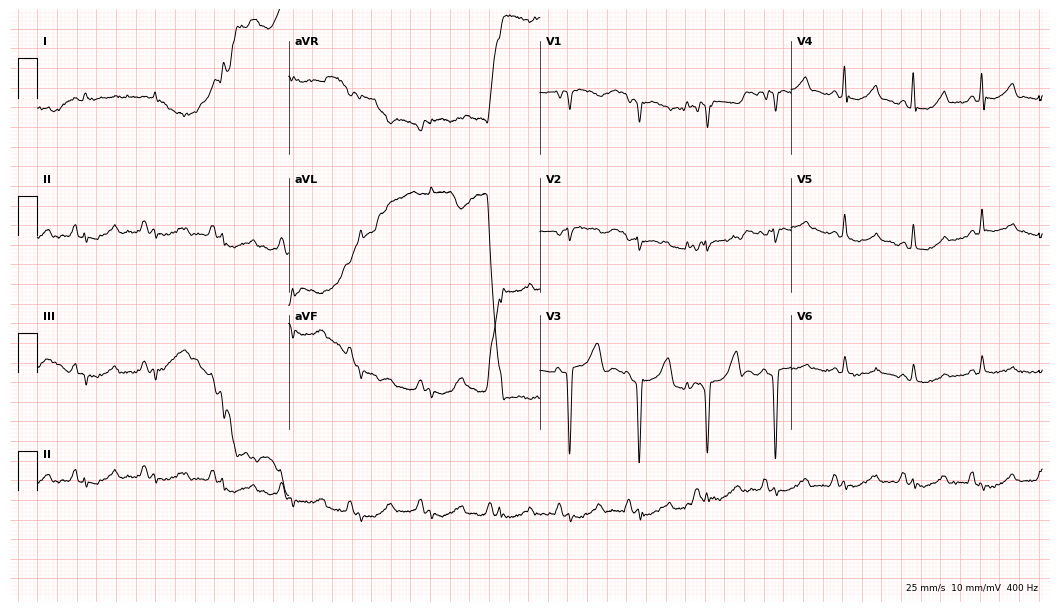
ECG — a 75-year-old woman. Screened for six findings — first-degree AV block, right bundle branch block, left bundle branch block, sinus bradycardia, atrial fibrillation, sinus tachycardia — none is recorded.